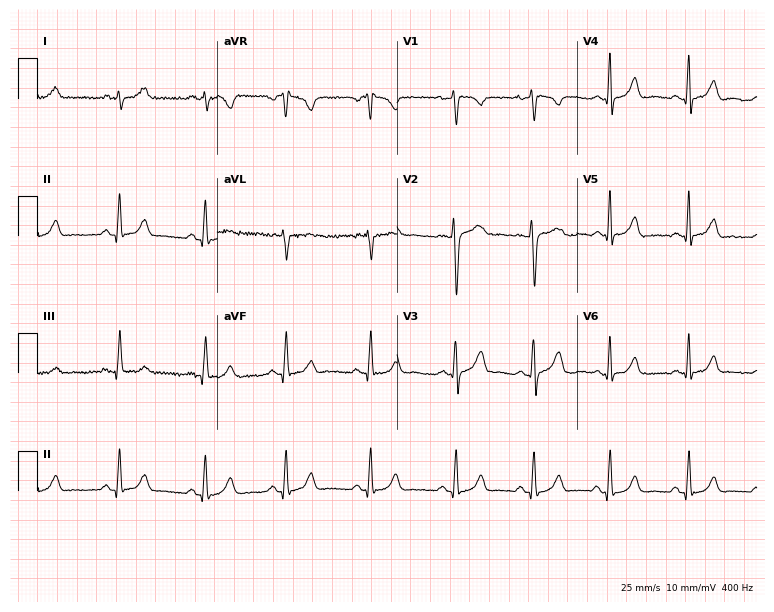
12-lead ECG from a 26-year-old female patient (7.3-second recording at 400 Hz). Recorded interpretation: within normal limits.